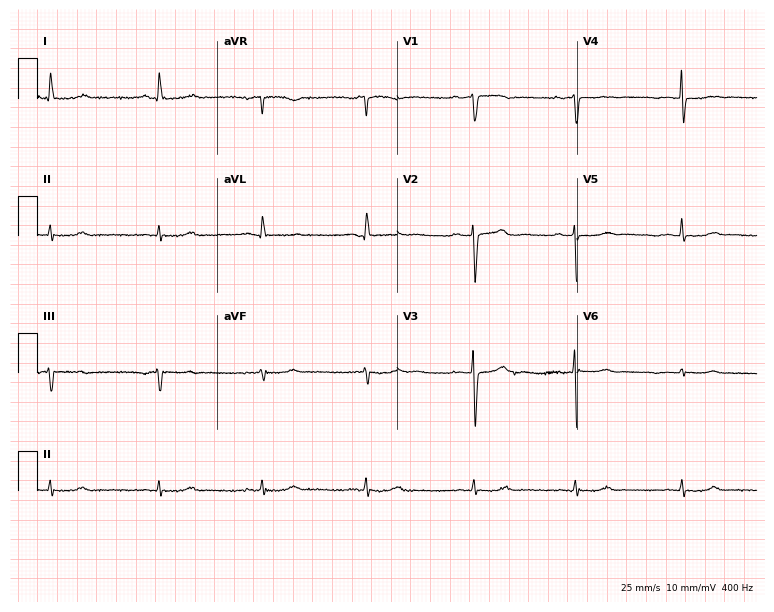
Standard 12-lead ECG recorded from a male, 73 years old. None of these six findings is recorded: first-degree AV block, right bundle branch block, left bundle branch block, sinus bradycardia, atrial fibrillation, sinus tachycardia.